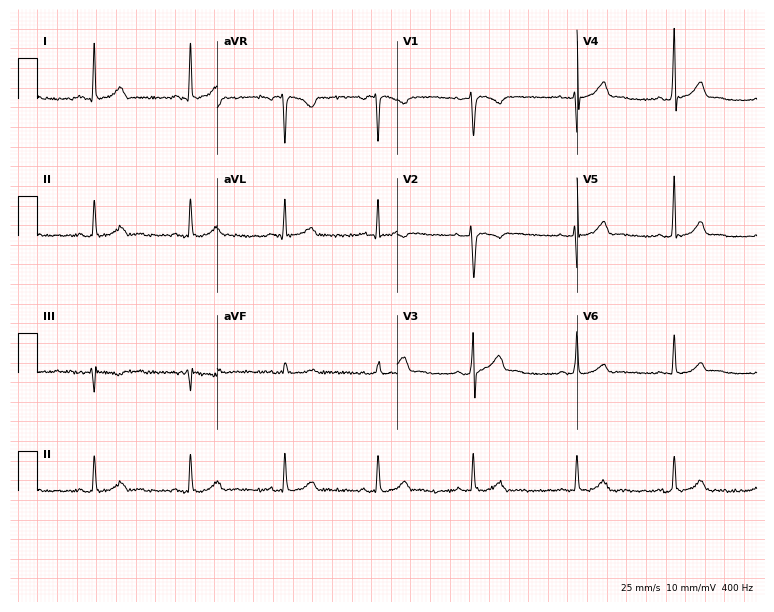
ECG — a 24-year-old female patient. Labelled as a normal ECG.